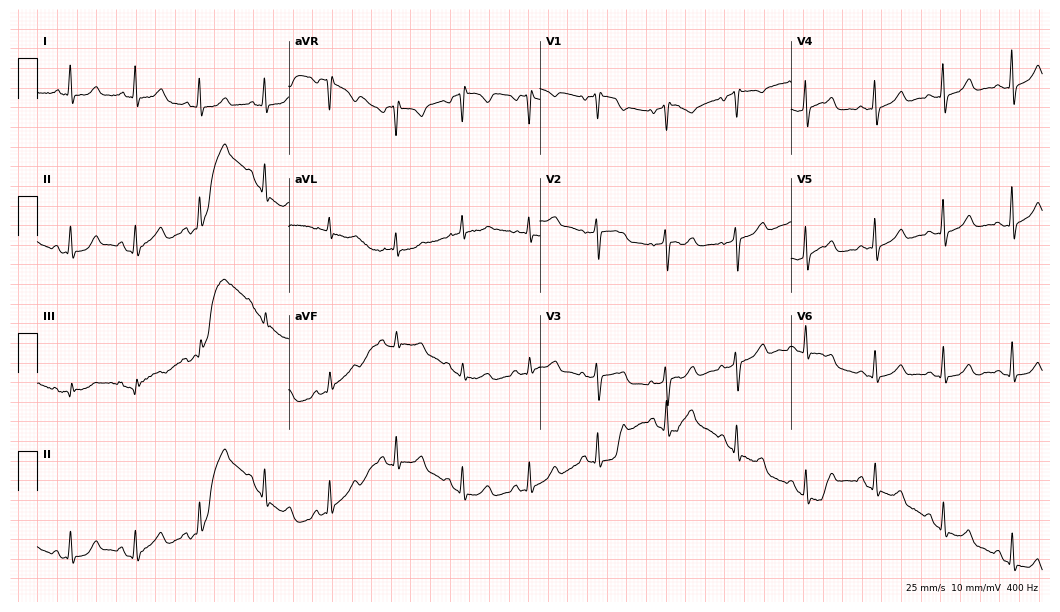
Standard 12-lead ECG recorded from a female, 71 years old. Read as a normal ECG.